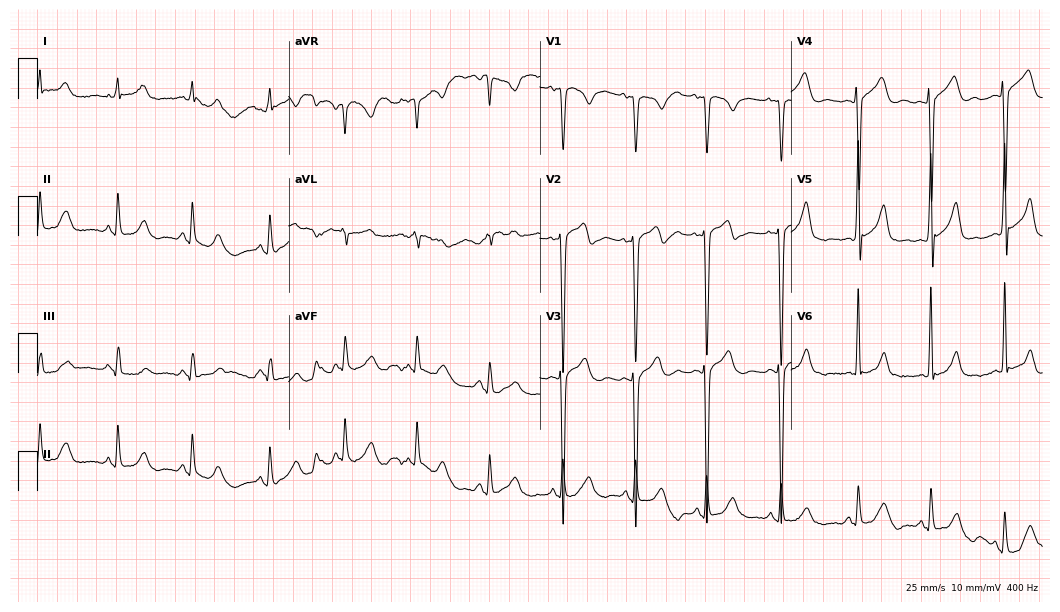
Standard 12-lead ECG recorded from a 54-year-old male patient. None of these six findings is recorded: first-degree AV block, right bundle branch block, left bundle branch block, sinus bradycardia, atrial fibrillation, sinus tachycardia.